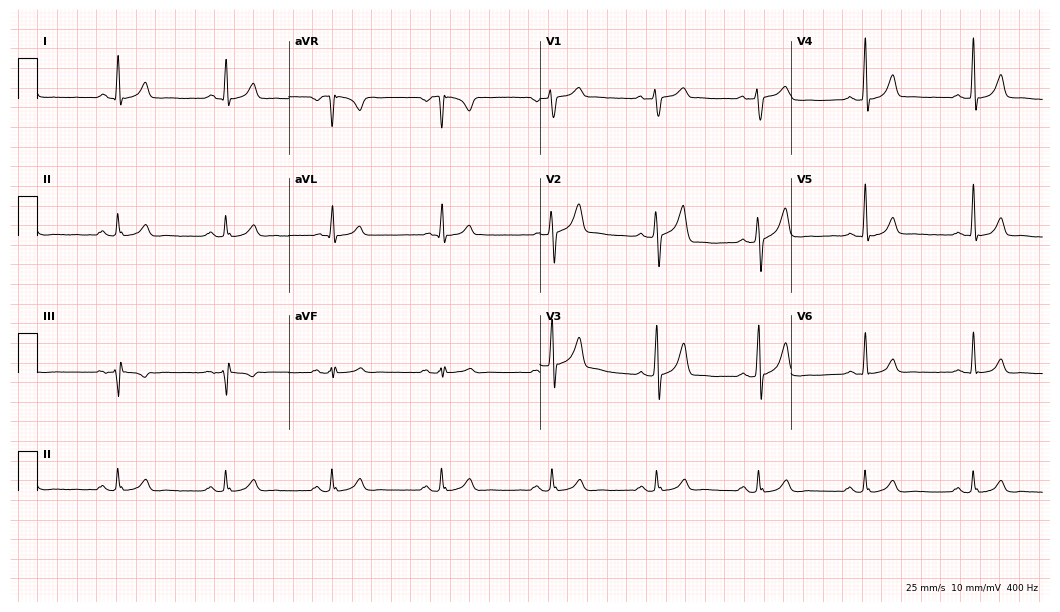
Resting 12-lead electrocardiogram (10.2-second recording at 400 Hz). Patient: a male, 35 years old. Read as a normal ECG.